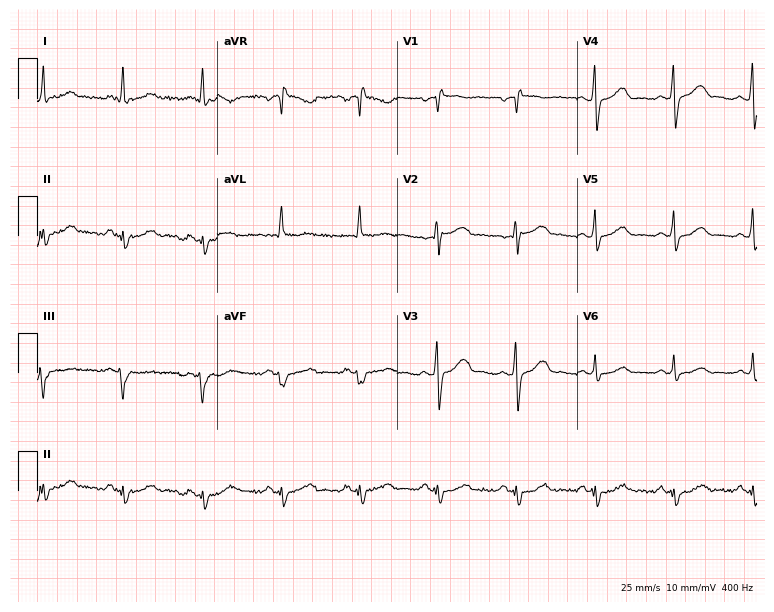
ECG (7.3-second recording at 400 Hz) — a male patient, 72 years old. Screened for six findings — first-degree AV block, right bundle branch block (RBBB), left bundle branch block (LBBB), sinus bradycardia, atrial fibrillation (AF), sinus tachycardia — none is recorded.